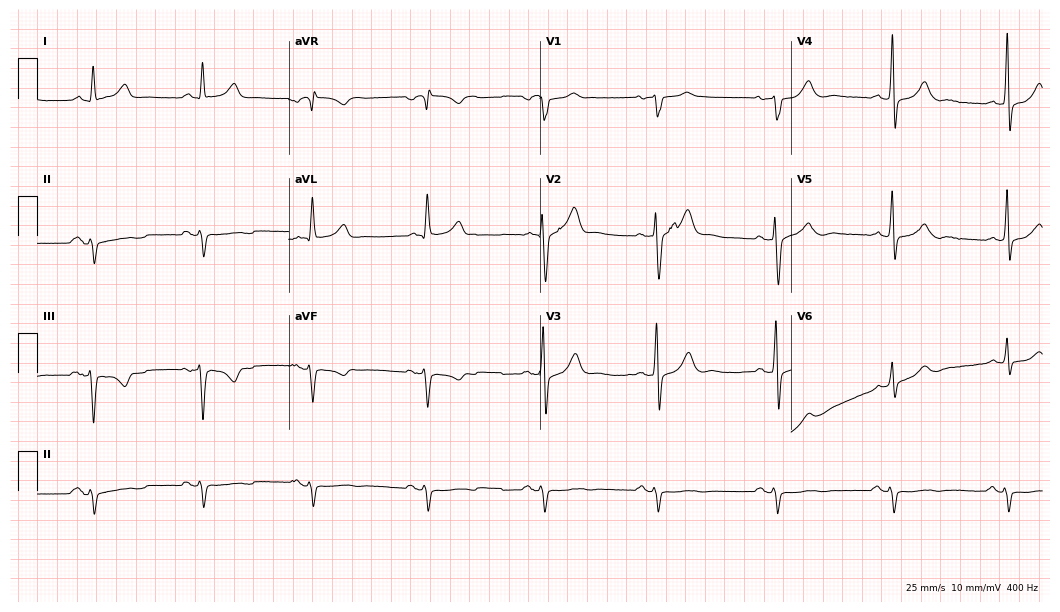
ECG — a man, 72 years old. Findings include left bundle branch block.